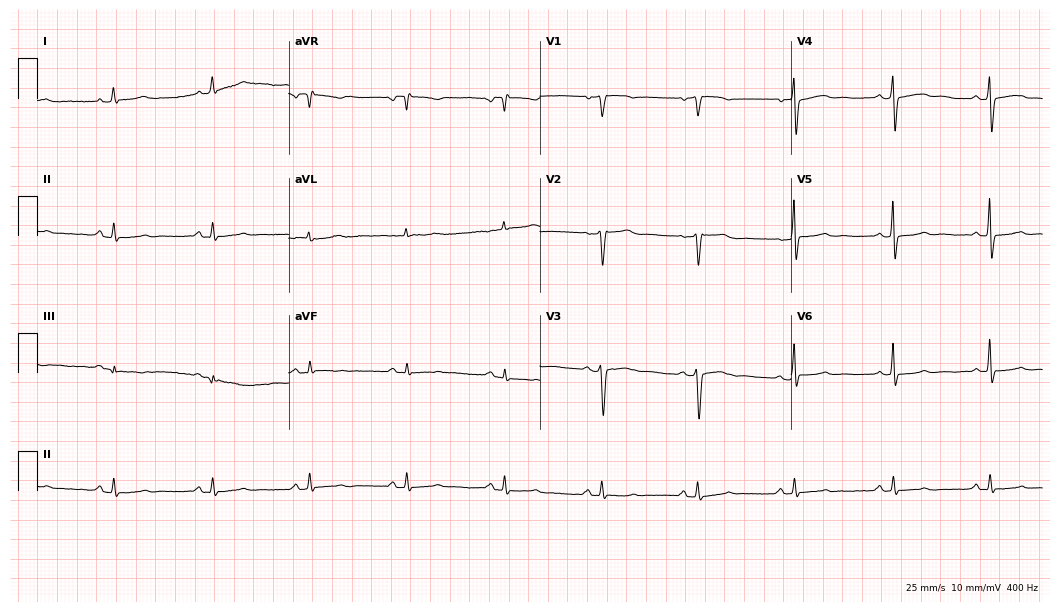
12-lead ECG from a 70-year-old woman. No first-degree AV block, right bundle branch block (RBBB), left bundle branch block (LBBB), sinus bradycardia, atrial fibrillation (AF) or sinus tachycardia recorded for this tracing.